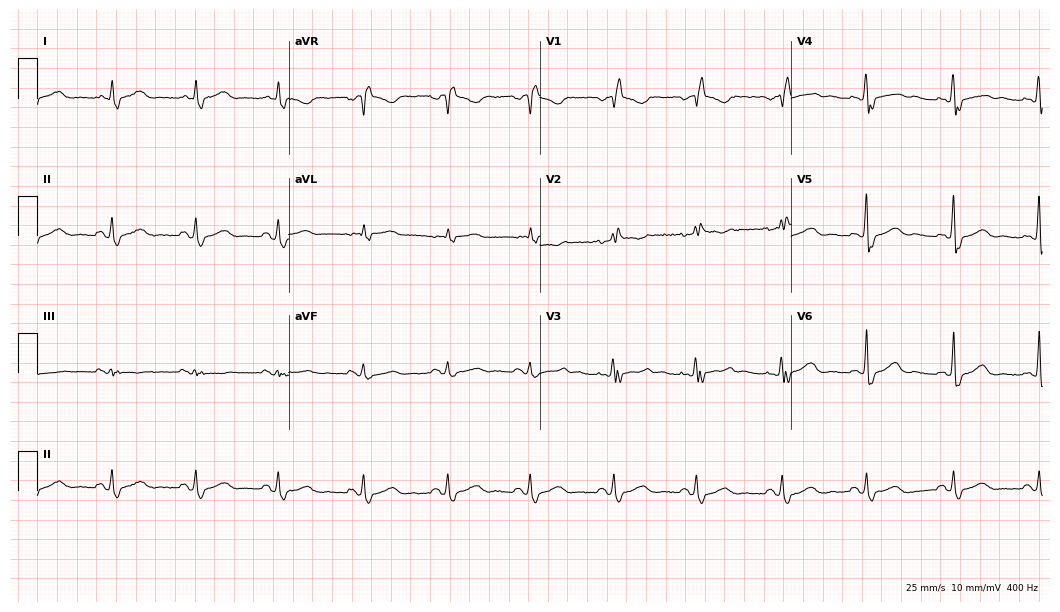
Electrocardiogram (10.2-second recording at 400 Hz), a female, 48 years old. Interpretation includes right bundle branch block (RBBB).